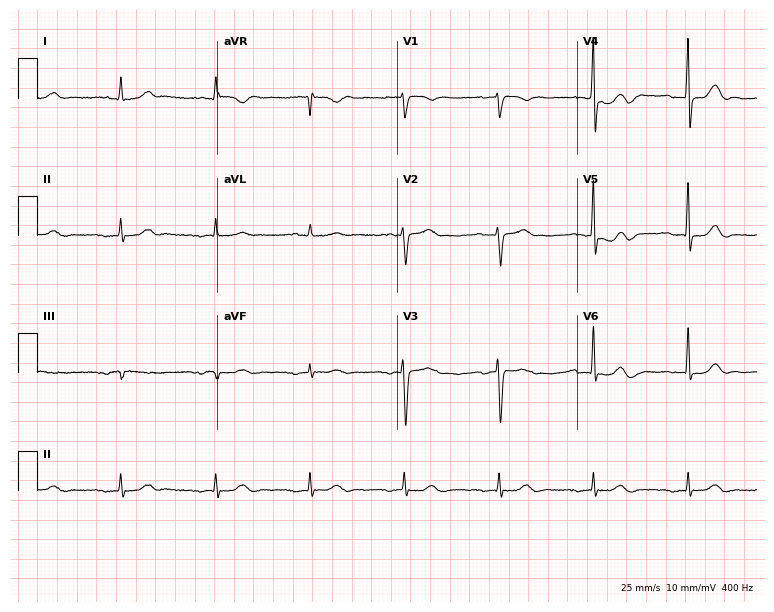
Electrocardiogram, an 83-year-old male patient. Overall reading on record: normal ECG.